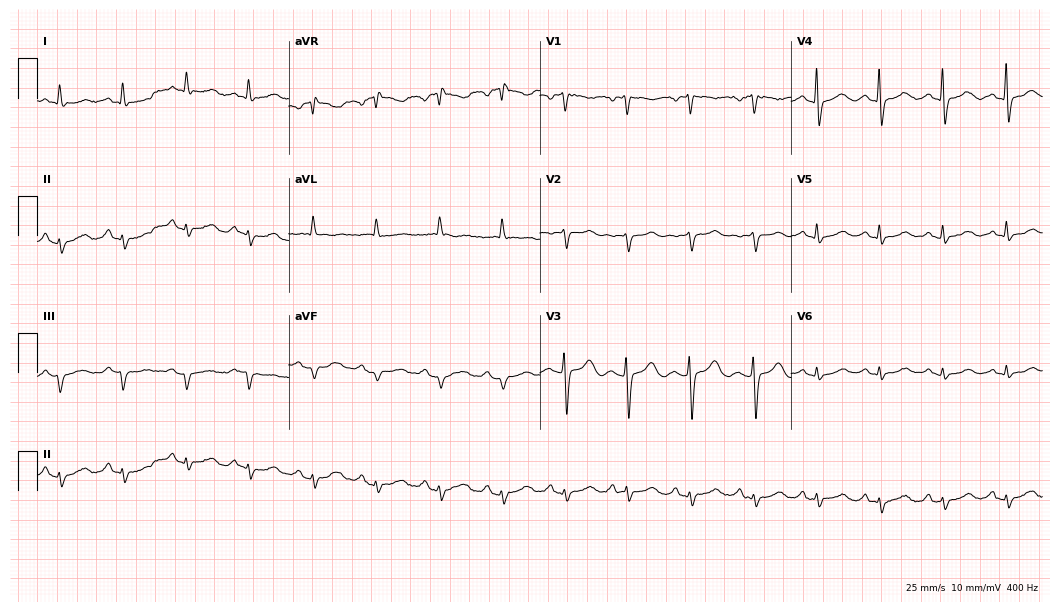
12-lead ECG from a female, 75 years old (10.2-second recording at 400 Hz). No first-degree AV block, right bundle branch block, left bundle branch block, sinus bradycardia, atrial fibrillation or sinus tachycardia recorded for this tracing. Findings outside these six are not listed.